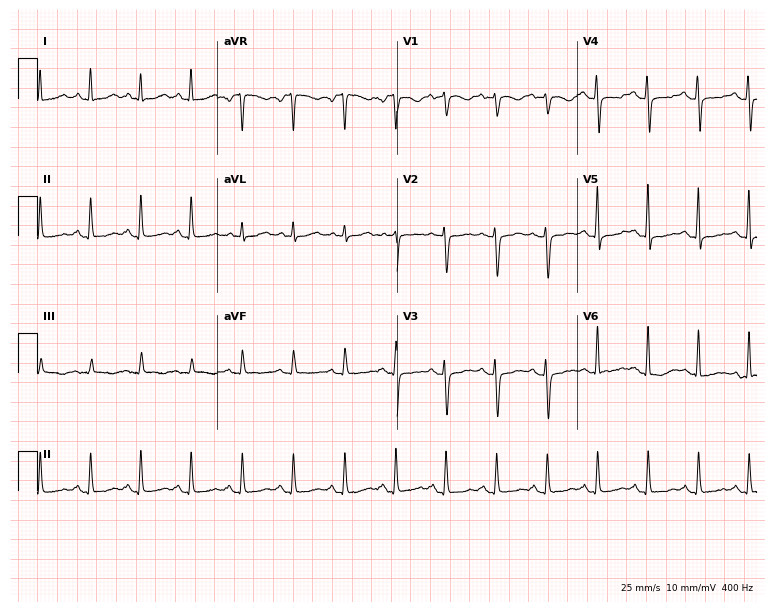
12-lead ECG from a female patient, 31 years old. Findings include sinus tachycardia (a sinus rate of 100 beats per minute or more).